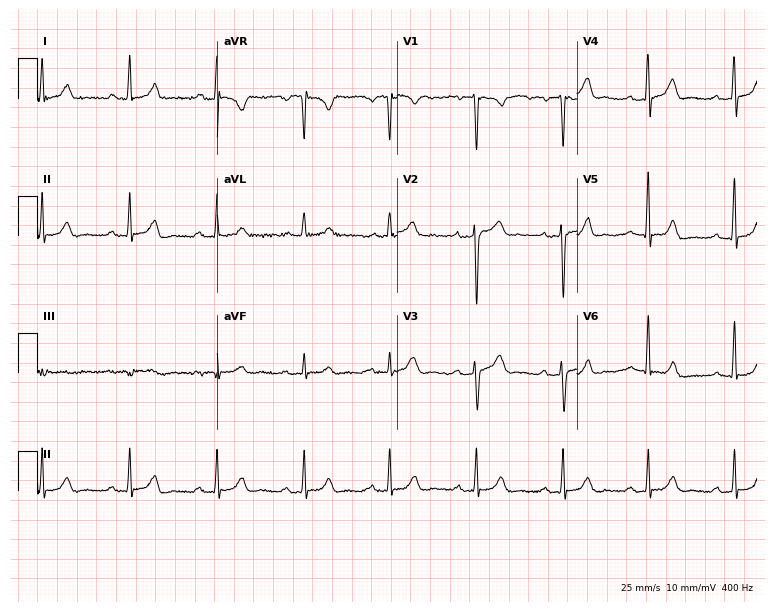
12-lead ECG from a 43-year-old male. No first-degree AV block, right bundle branch block (RBBB), left bundle branch block (LBBB), sinus bradycardia, atrial fibrillation (AF) or sinus tachycardia recorded for this tracing.